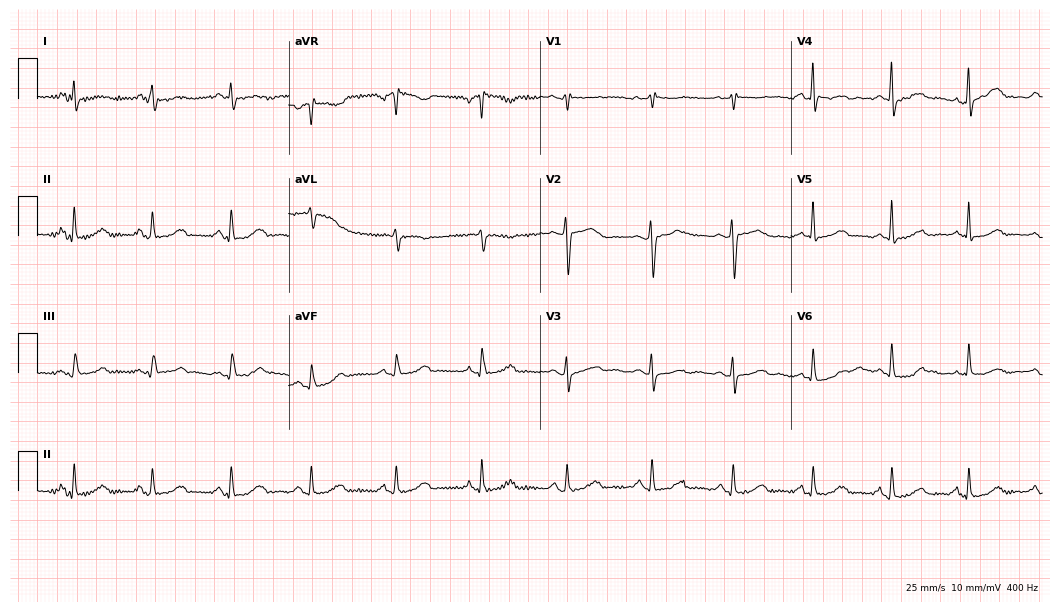
Electrocardiogram, a 74-year-old woman. Of the six screened findings (first-degree AV block, right bundle branch block (RBBB), left bundle branch block (LBBB), sinus bradycardia, atrial fibrillation (AF), sinus tachycardia), none is recorded. Findings outside these six are not listed.